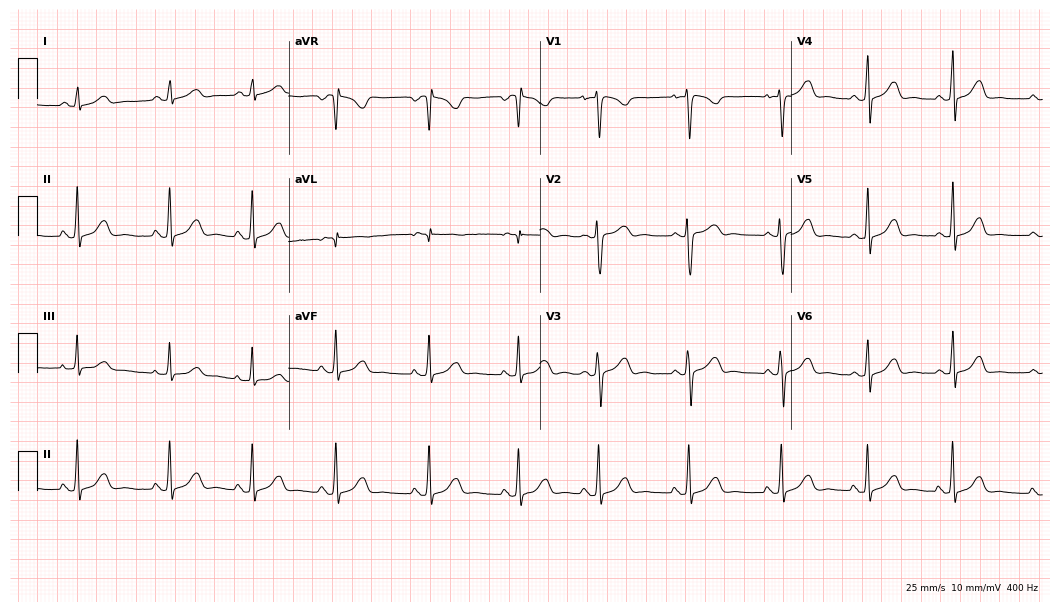
Electrocardiogram, an 18-year-old female. Of the six screened findings (first-degree AV block, right bundle branch block (RBBB), left bundle branch block (LBBB), sinus bradycardia, atrial fibrillation (AF), sinus tachycardia), none is recorded.